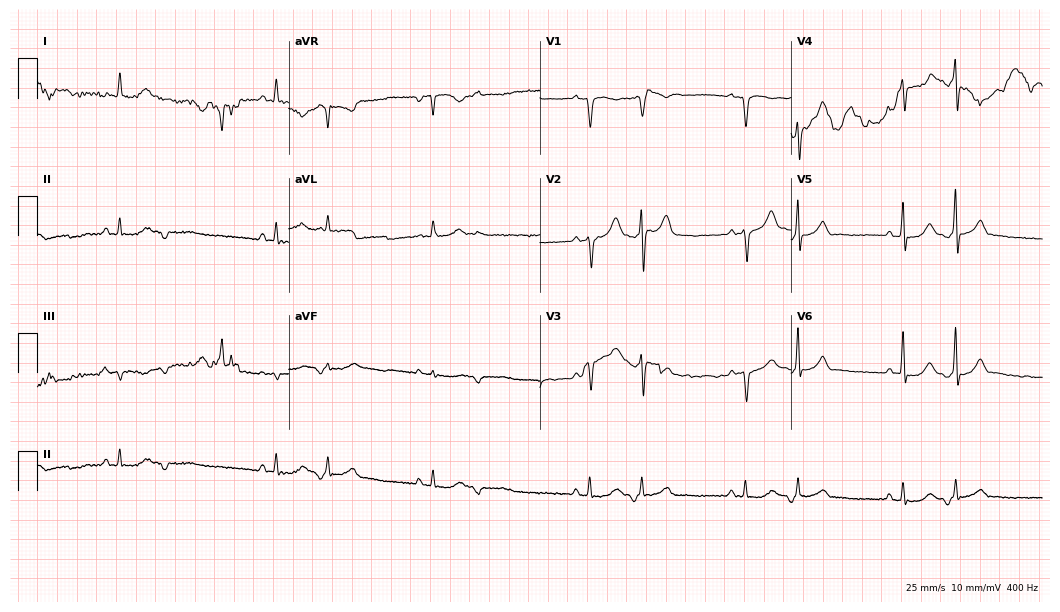
ECG — an 81-year-old male. Screened for six findings — first-degree AV block, right bundle branch block, left bundle branch block, sinus bradycardia, atrial fibrillation, sinus tachycardia — none is recorded. Other findings, if any, are not listed.